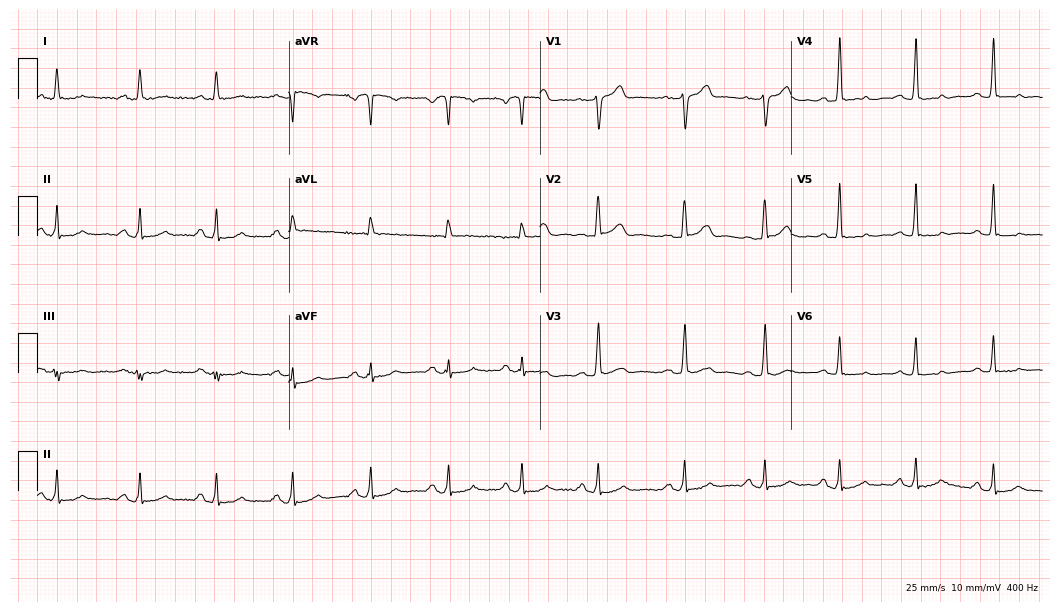
Electrocardiogram (10.2-second recording at 400 Hz), a male, 64 years old. Of the six screened findings (first-degree AV block, right bundle branch block, left bundle branch block, sinus bradycardia, atrial fibrillation, sinus tachycardia), none is recorded.